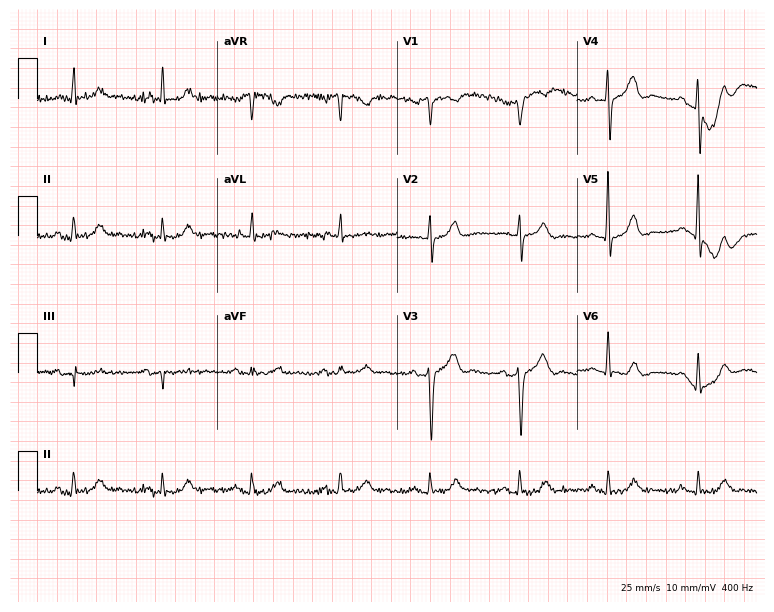
Resting 12-lead electrocardiogram (7.3-second recording at 400 Hz). Patient: a male, 72 years old. None of these six findings is recorded: first-degree AV block, right bundle branch block (RBBB), left bundle branch block (LBBB), sinus bradycardia, atrial fibrillation (AF), sinus tachycardia. Findings outside these six are not listed.